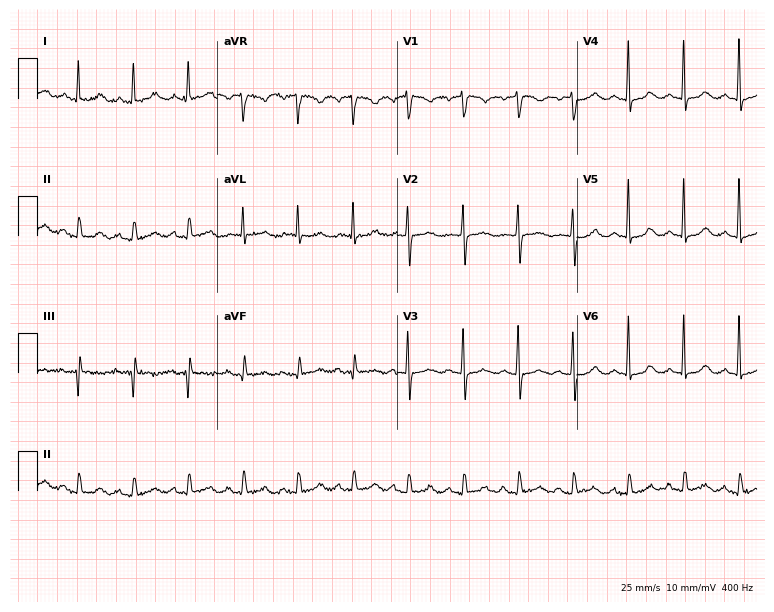
12-lead ECG from a female patient, 78 years old (7.3-second recording at 400 Hz). No first-degree AV block, right bundle branch block, left bundle branch block, sinus bradycardia, atrial fibrillation or sinus tachycardia recorded for this tracing.